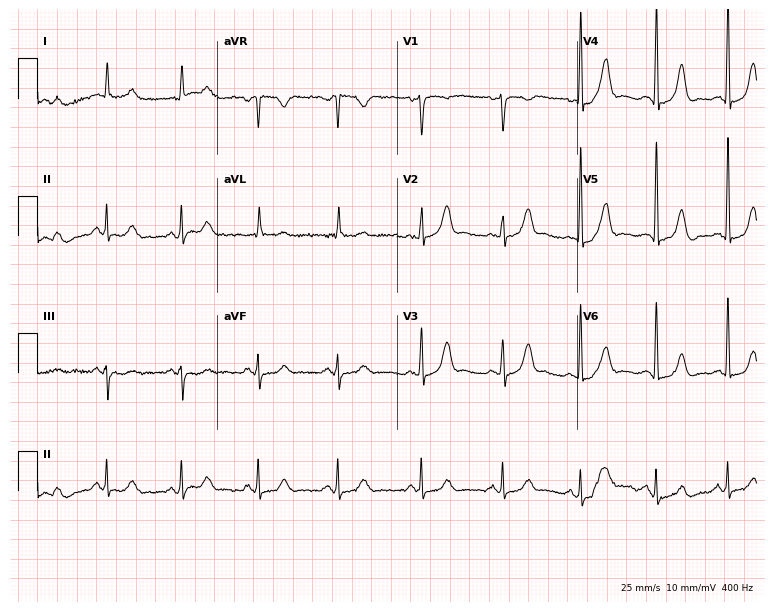
Electrocardiogram, a 73-year-old woman. Overall reading on record: normal ECG.